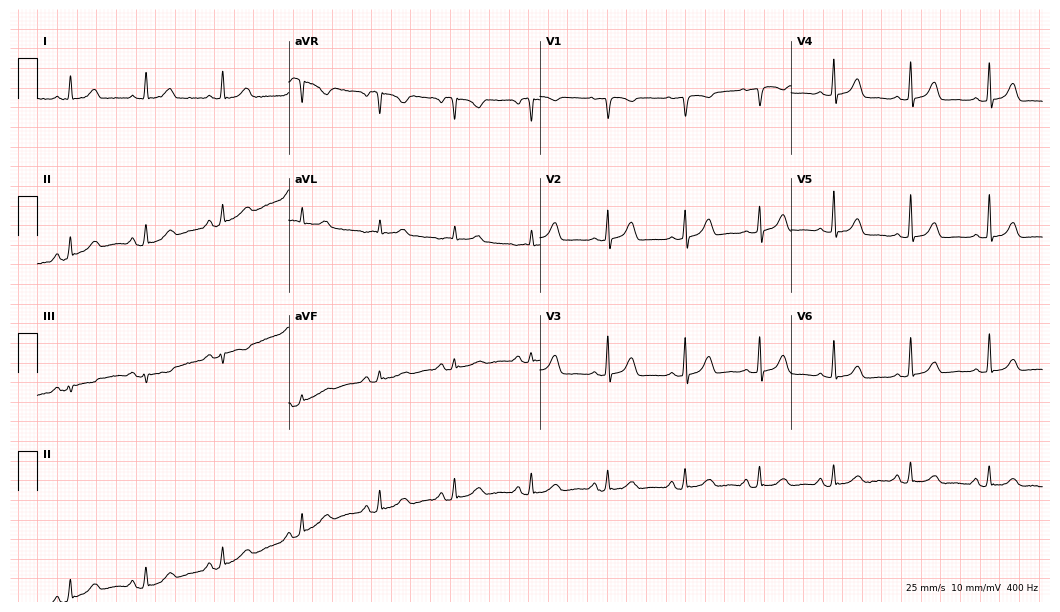
Resting 12-lead electrocardiogram (10.2-second recording at 400 Hz). Patient: a female, 60 years old. Read as a normal ECG.